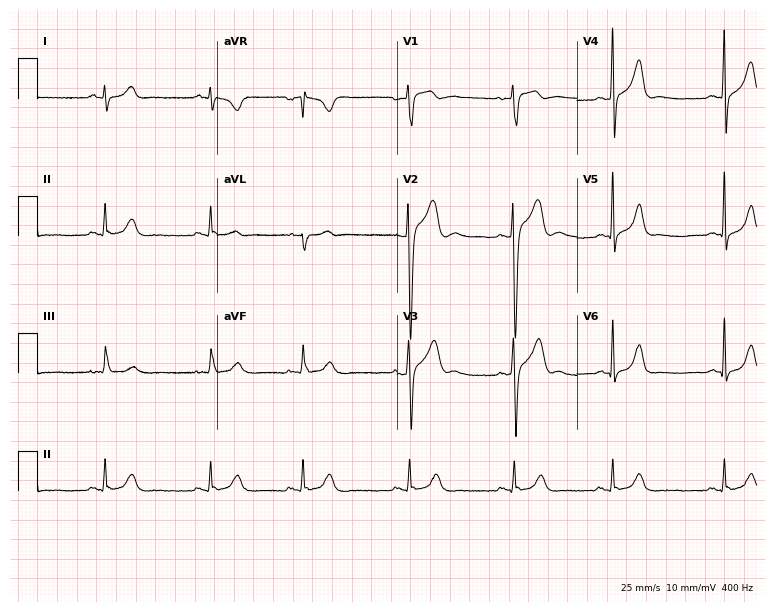
Electrocardiogram, a man, 22 years old. Of the six screened findings (first-degree AV block, right bundle branch block, left bundle branch block, sinus bradycardia, atrial fibrillation, sinus tachycardia), none is recorded.